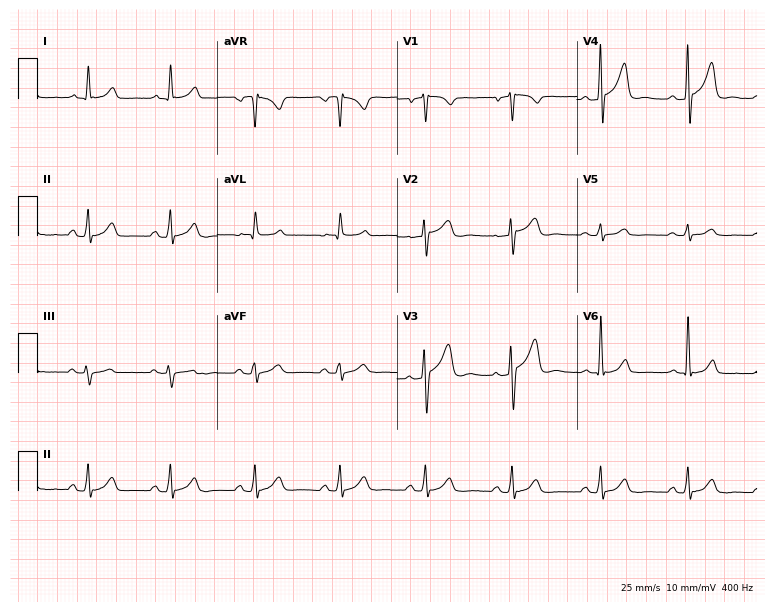
Electrocardiogram (7.3-second recording at 400 Hz), a 54-year-old man. Of the six screened findings (first-degree AV block, right bundle branch block, left bundle branch block, sinus bradycardia, atrial fibrillation, sinus tachycardia), none is recorded. Findings outside these six are not listed.